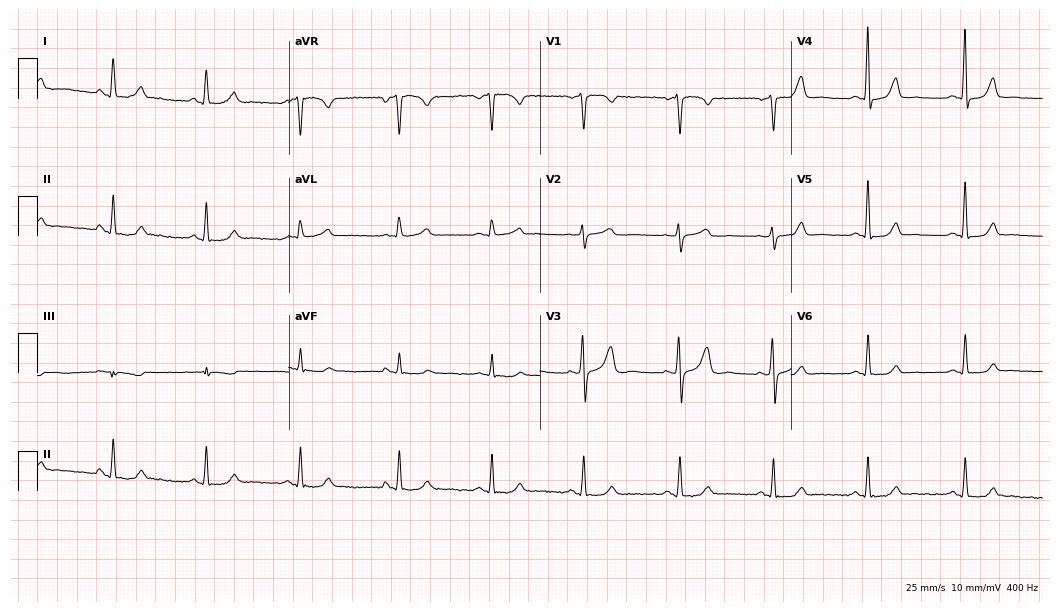
ECG (10.2-second recording at 400 Hz) — a 41-year-old female patient. Screened for six findings — first-degree AV block, right bundle branch block, left bundle branch block, sinus bradycardia, atrial fibrillation, sinus tachycardia — none is recorded. Findings outside these six are not listed.